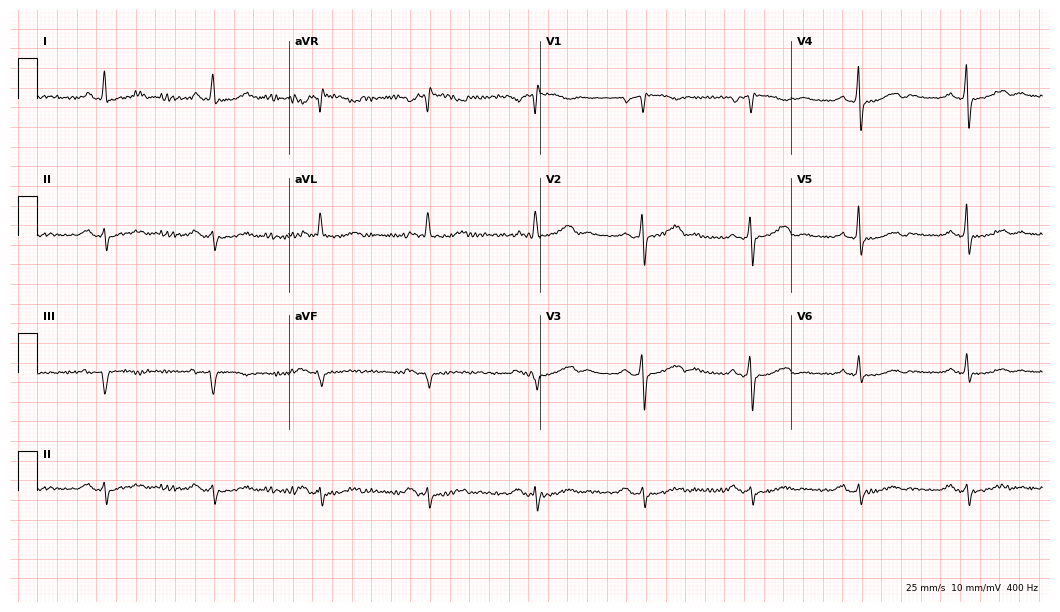
Resting 12-lead electrocardiogram (10.2-second recording at 400 Hz). Patient: a female, 59 years old. None of these six findings is recorded: first-degree AV block, right bundle branch block (RBBB), left bundle branch block (LBBB), sinus bradycardia, atrial fibrillation (AF), sinus tachycardia.